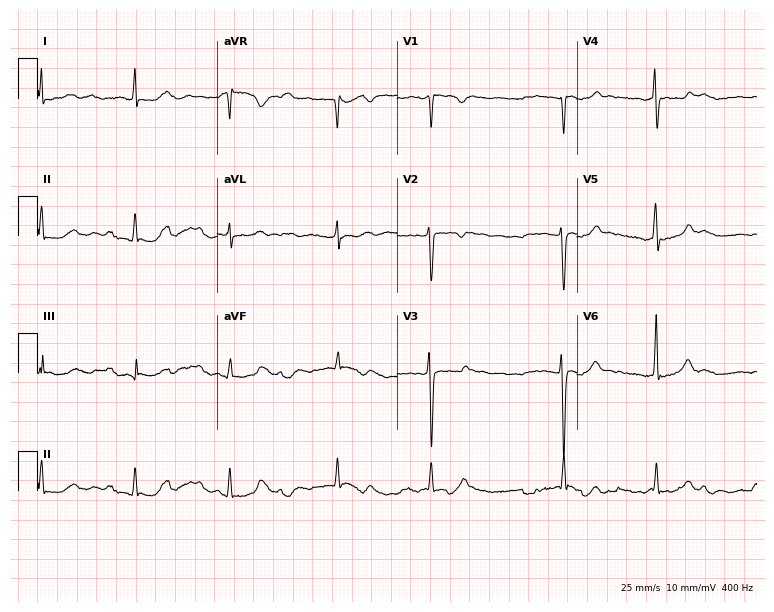
Standard 12-lead ECG recorded from a female, 45 years old. None of these six findings is recorded: first-degree AV block, right bundle branch block (RBBB), left bundle branch block (LBBB), sinus bradycardia, atrial fibrillation (AF), sinus tachycardia.